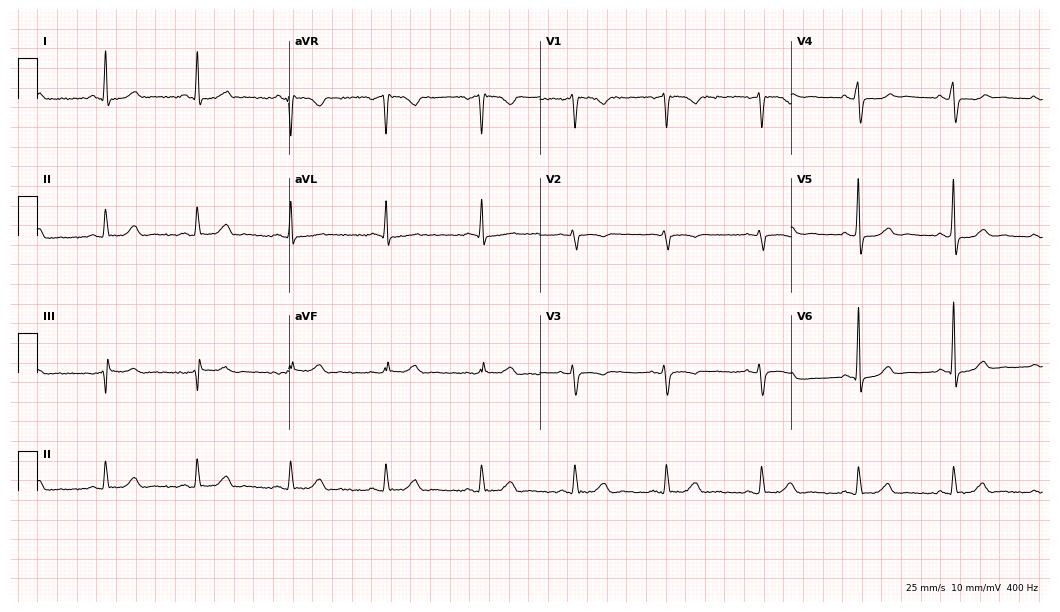
Standard 12-lead ECG recorded from a female, 53 years old (10.2-second recording at 400 Hz). None of these six findings is recorded: first-degree AV block, right bundle branch block, left bundle branch block, sinus bradycardia, atrial fibrillation, sinus tachycardia.